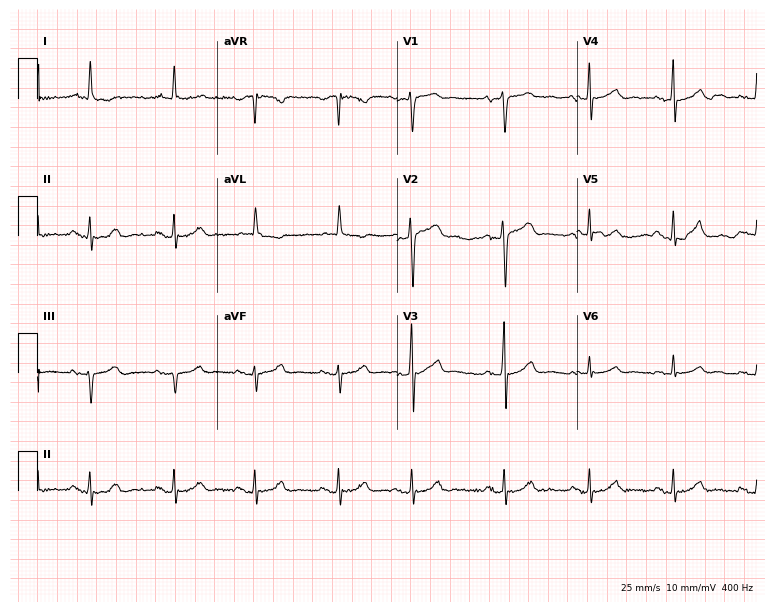
Standard 12-lead ECG recorded from a 55-year-old male patient (7.3-second recording at 400 Hz). None of these six findings is recorded: first-degree AV block, right bundle branch block, left bundle branch block, sinus bradycardia, atrial fibrillation, sinus tachycardia.